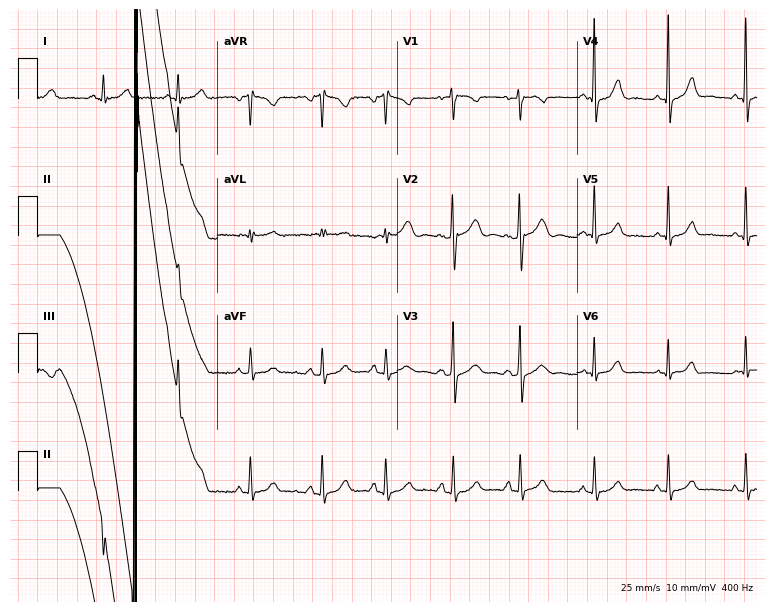
Standard 12-lead ECG recorded from a 41-year-old female (7.3-second recording at 400 Hz). Read as a normal ECG.